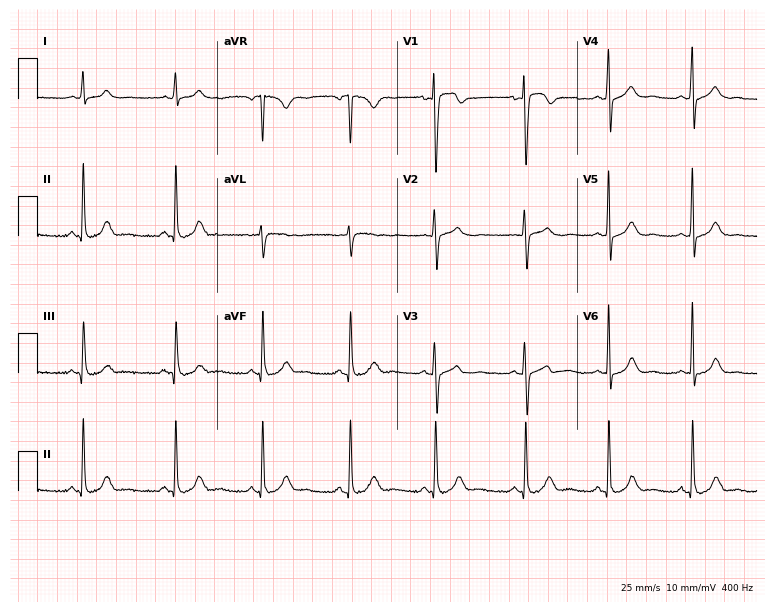
12-lead ECG from a woman, 28 years old (7.3-second recording at 400 Hz). Recorded interpretation: within normal limits.